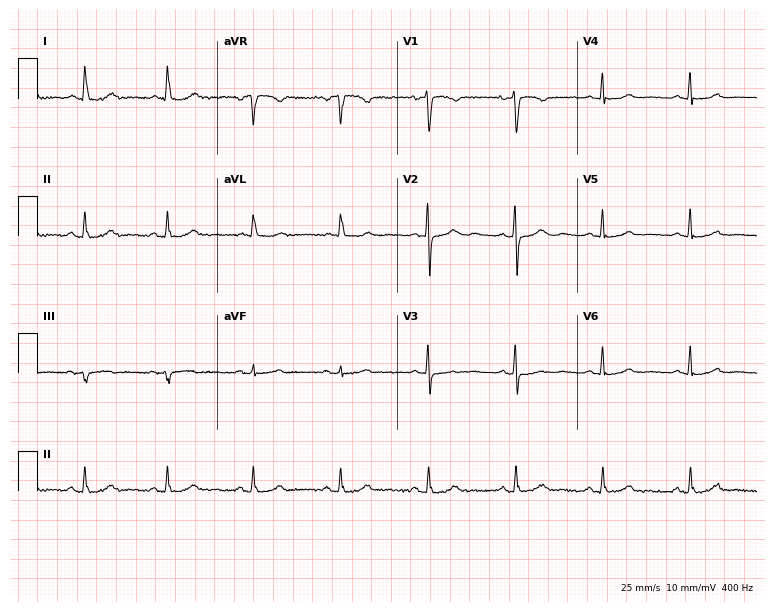
12-lead ECG (7.3-second recording at 400 Hz) from a female patient, 54 years old. Labelled as a normal ECG.